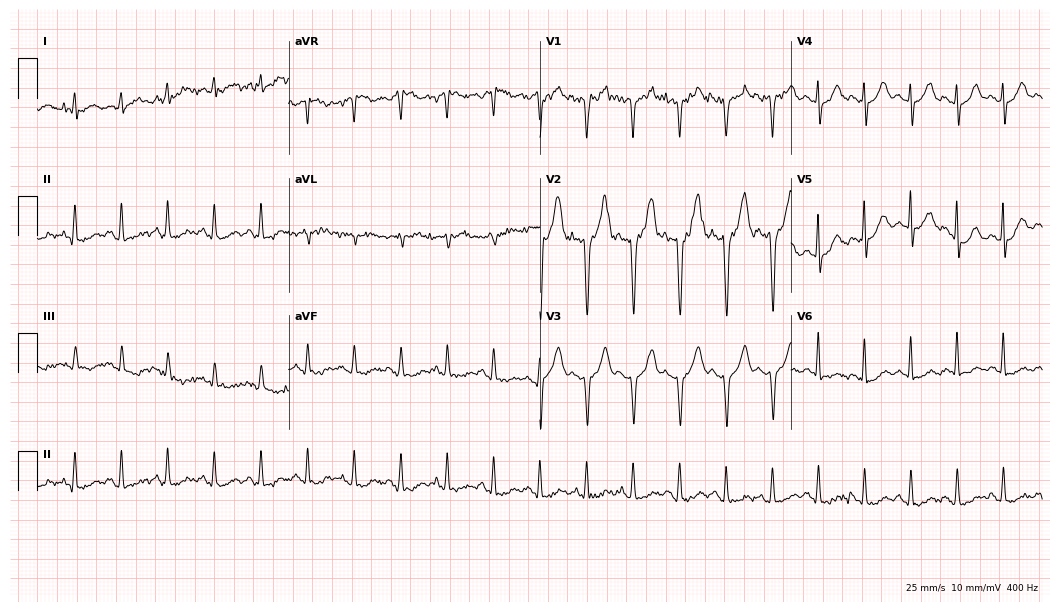
Electrocardiogram, a 64-year-old female. Interpretation includes sinus tachycardia (a sinus rate of 100 beats per minute or more).